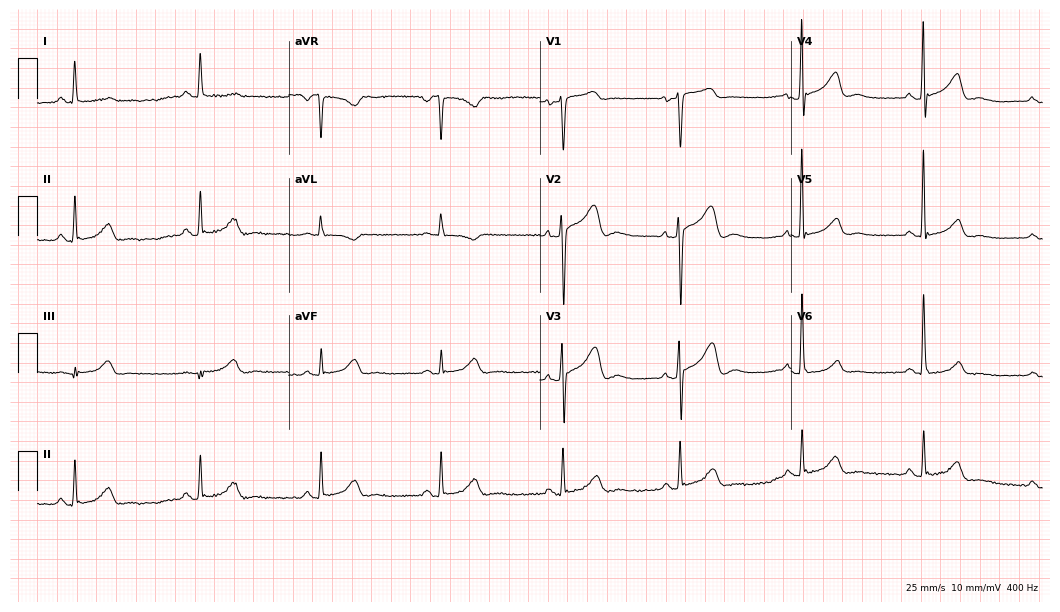
12-lead ECG (10.2-second recording at 400 Hz) from a woman, 58 years old. Findings include sinus bradycardia (a sinus rate of 50 beats per minute or less).